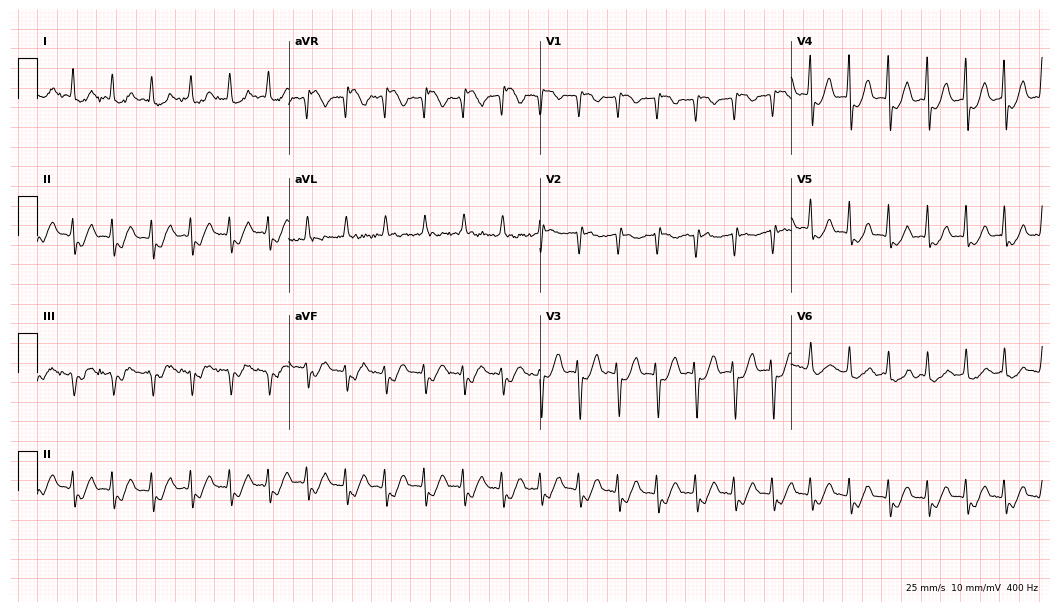
Standard 12-lead ECG recorded from a female, 53 years old (10.2-second recording at 400 Hz). None of these six findings is recorded: first-degree AV block, right bundle branch block (RBBB), left bundle branch block (LBBB), sinus bradycardia, atrial fibrillation (AF), sinus tachycardia. Other findings, if any, are not listed.